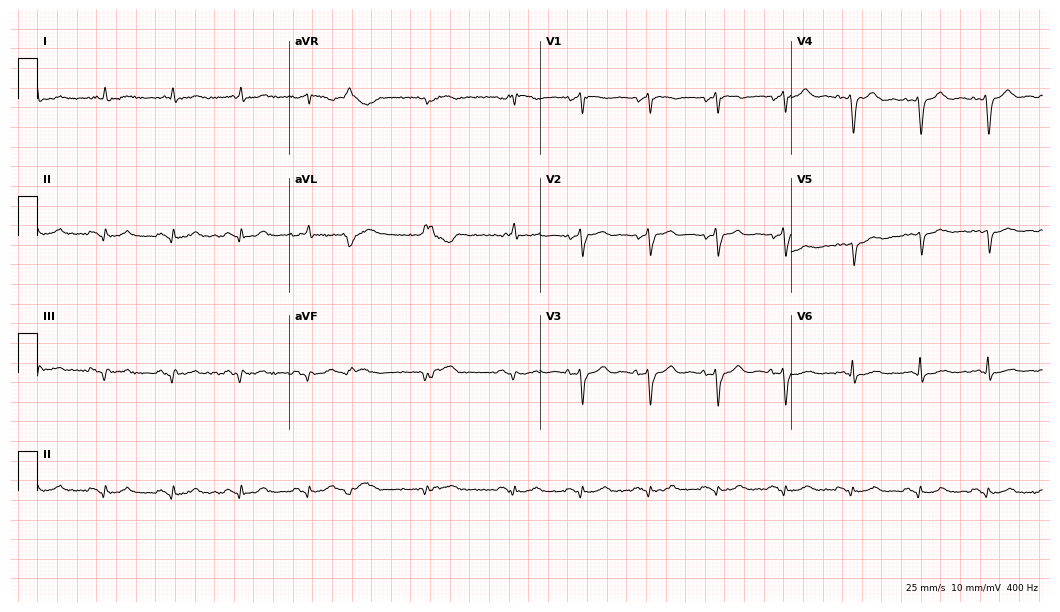
Resting 12-lead electrocardiogram. Patient: an 83-year-old male. None of these six findings is recorded: first-degree AV block, right bundle branch block, left bundle branch block, sinus bradycardia, atrial fibrillation, sinus tachycardia. Only these six findings were labelled.